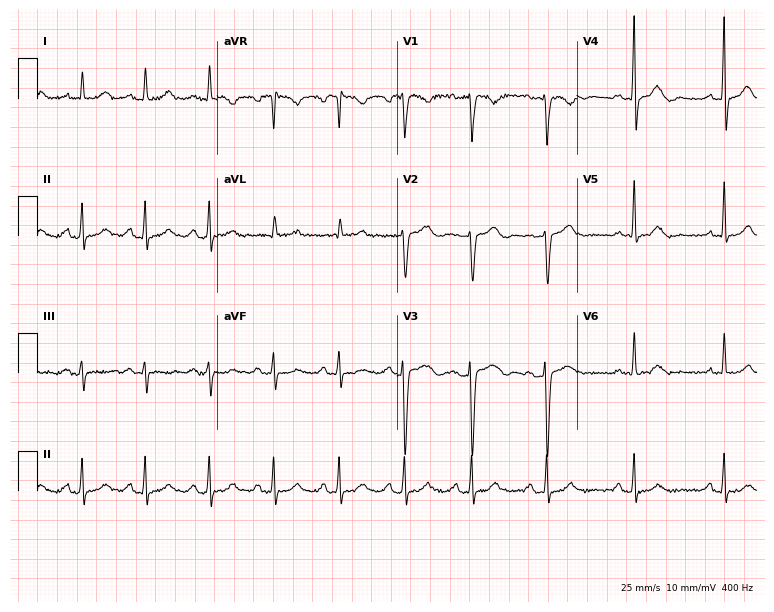
12-lead ECG (7.3-second recording at 400 Hz) from a female, 45 years old. Screened for six findings — first-degree AV block, right bundle branch block, left bundle branch block, sinus bradycardia, atrial fibrillation, sinus tachycardia — none is recorded. Only these six findings were labelled.